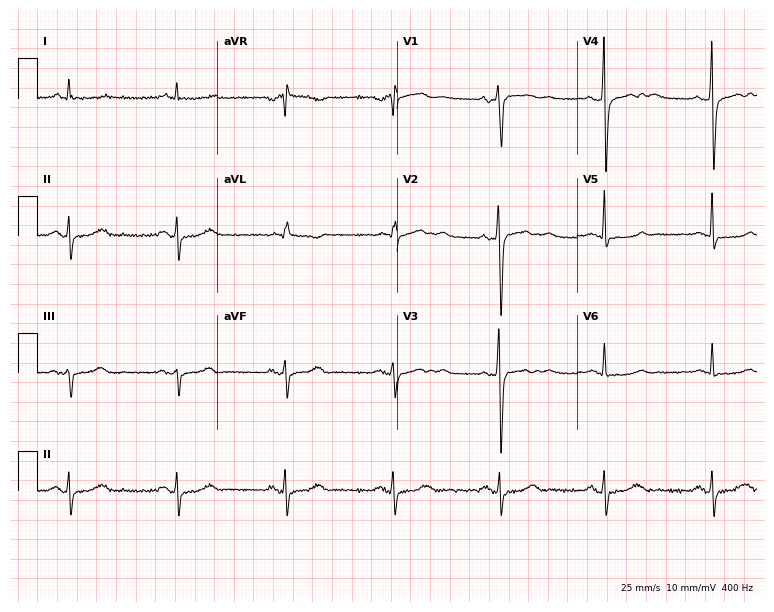
Electrocardiogram (7.3-second recording at 400 Hz), a 65-year-old man. Overall reading on record: normal ECG.